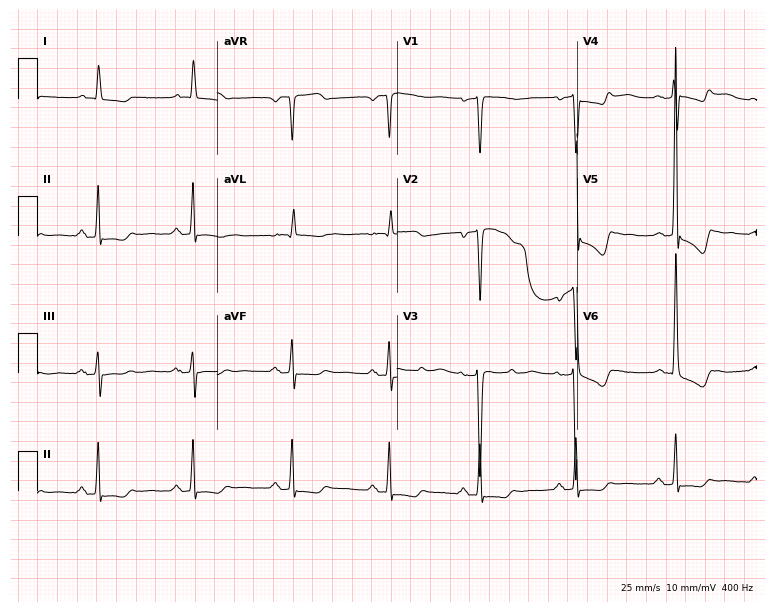
12-lead ECG from a woman, 48 years old. No first-degree AV block, right bundle branch block, left bundle branch block, sinus bradycardia, atrial fibrillation or sinus tachycardia recorded for this tracing. Only these six findings were labelled.